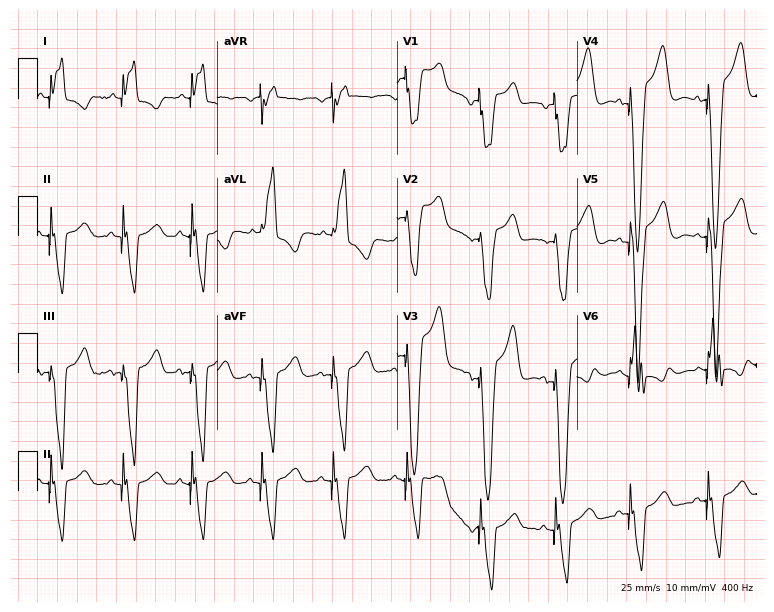
12-lead ECG (7.3-second recording at 400 Hz) from a 75-year-old man. Screened for six findings — first-degree AV block, right bundle branch block, left bundle branch block, sinus bradycardia, atrial fibrillation, sinus tachycardia — none is recorded. Only these six findings were labelled.